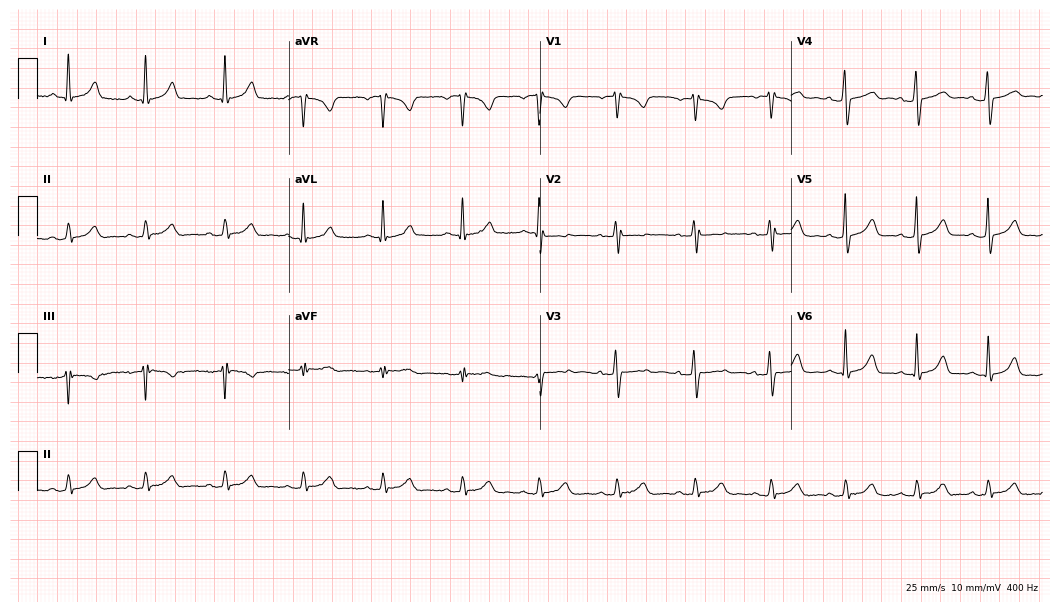
12-lead ECG from a female patient, 31 years old (10.2-second recording at 400 Hz). Recorded interpretation: within normal limits.